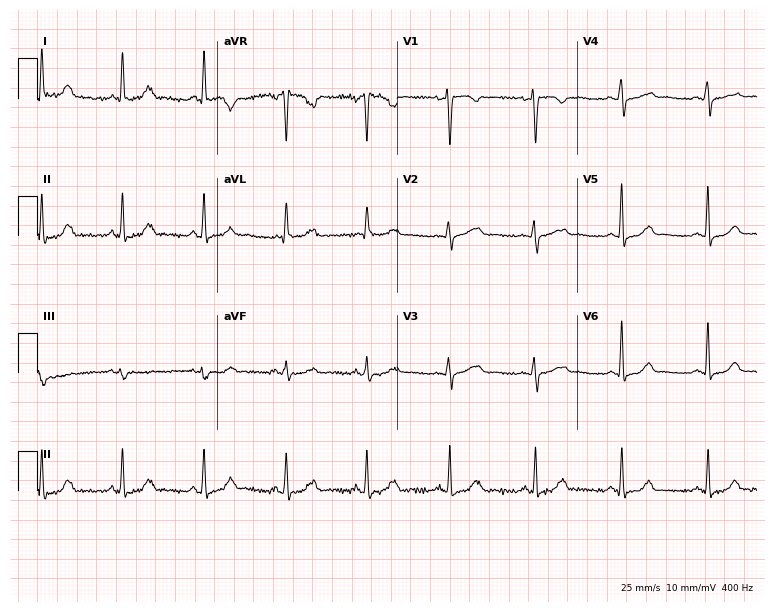
12-lead ECG (7.3-second recording at 400 Hz) from a woman, 58 years old. Labelled as a normal ECG.